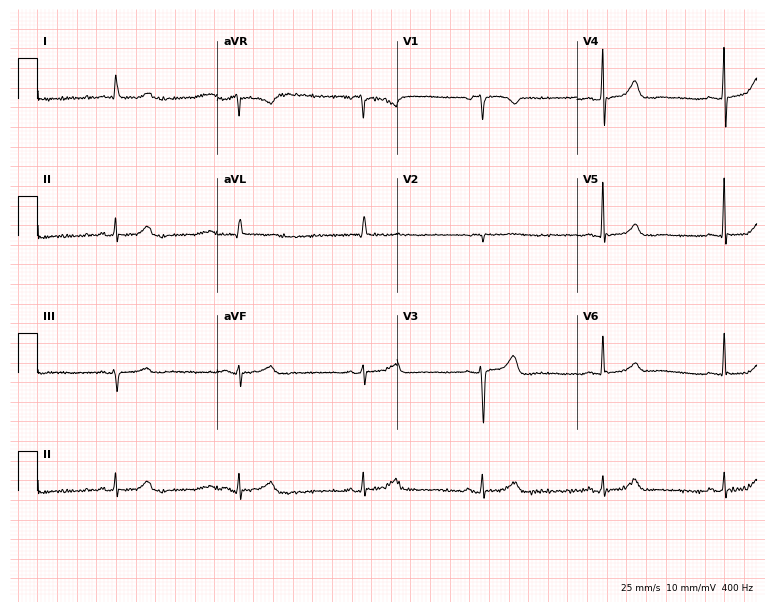
Resting 12-lead electrocardiogram (7.3-second recording at 400 Hz). Patient: a woman, 84 years old. The tracing shows sinus bradycardia (a sinus rate of 50 beats per minute or less).